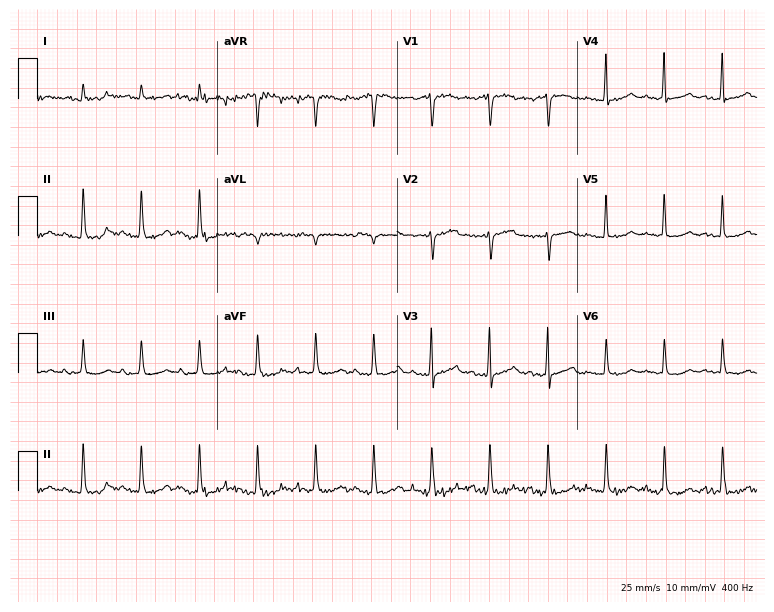
12-lead ECG from a female, 63 years old. No first-degree AV block, right bundle branch block, left bundle branch block, sinus bradycardia, atrial fibrillation or sinus tachycardia recorded for this tracing. Findings outside these six are not listed.